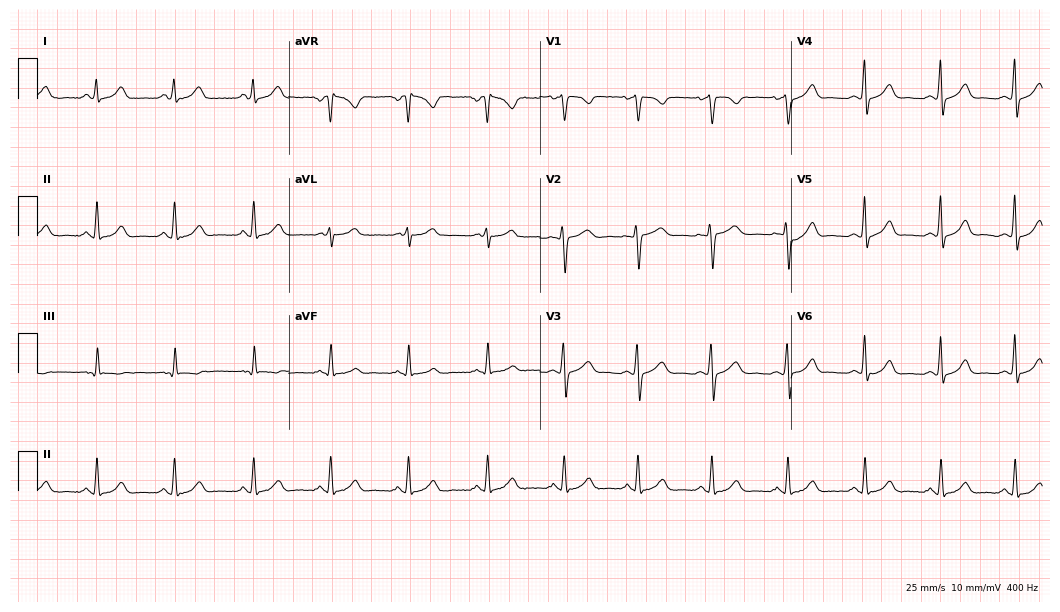
12-lead ECG from a female, 40 years old. Recorded interpretation: within normal limits.